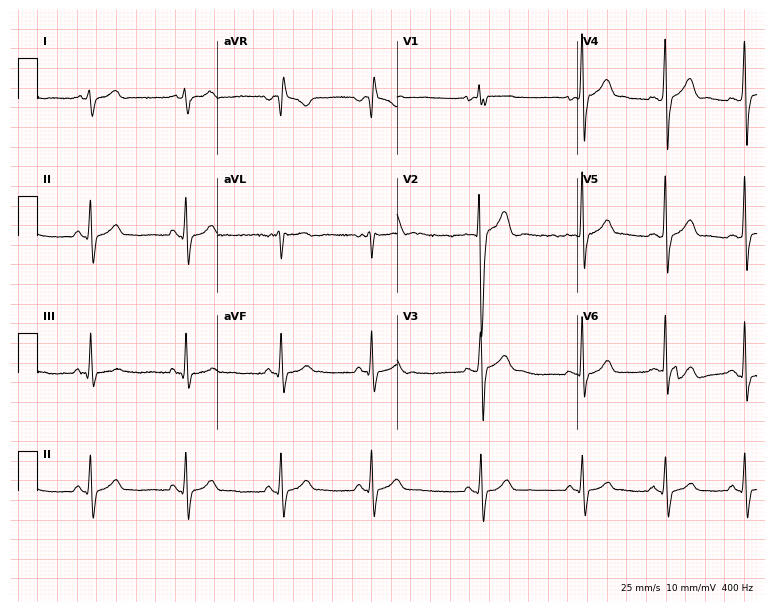
ECG — a 17-year-old male patient. Screened for six findings — first-degree AV block, right bundle branch block, left bundle branch block, sinus bradycardia, atrial fibrillation, sinus tachycardia — none is recorded. Only these six findings were labelled.